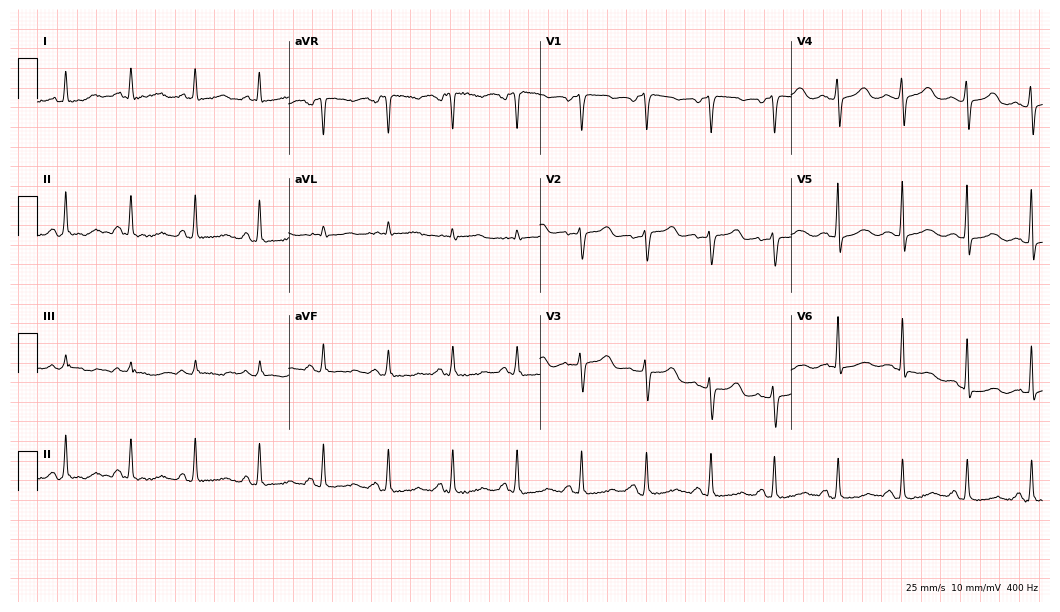
Resting 12-lead electrocardiogram. Patient: a 49-year-old female. None of these six findings is recorded: first-degree AV block, right bundle branch block (RBBB), left bundle branch block (LBBB), sinus bradycardia, atrial fibrillation (AF), sinus tachycardia. Other findings, if any, are not listed.